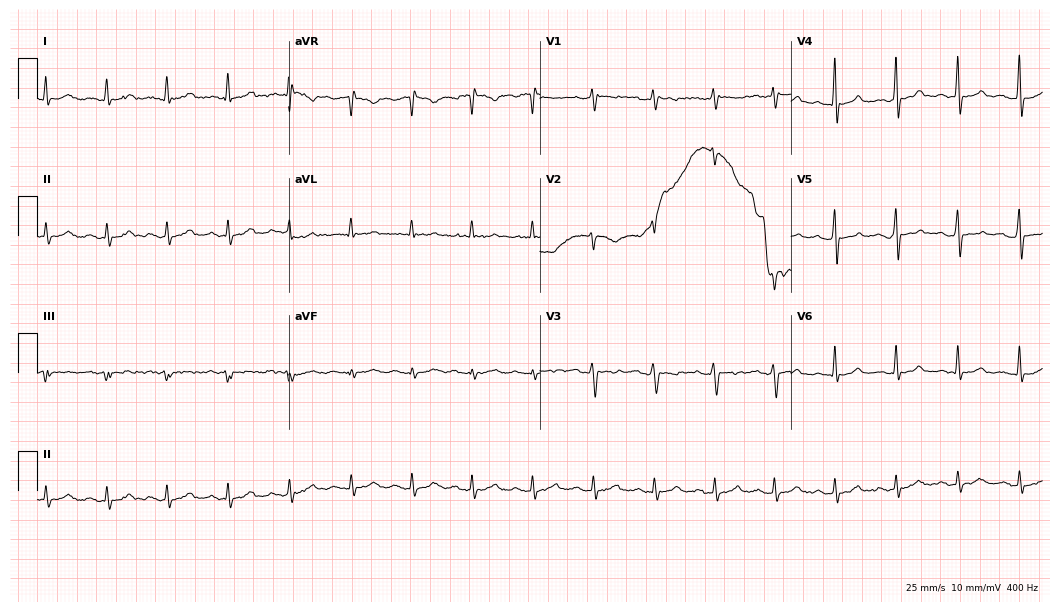
12-lead ECG (10.2-second recording at 400 Hz) from a male patient, 55 years old. Screened for six findings — first-degree AV block, right bundle branch block (RBBB), left bundle branch block (LBBB), sinus bradycardia, atrial fibrillation (AF), sinus tachycardia — none is recorded. Only these six findings were labelled.